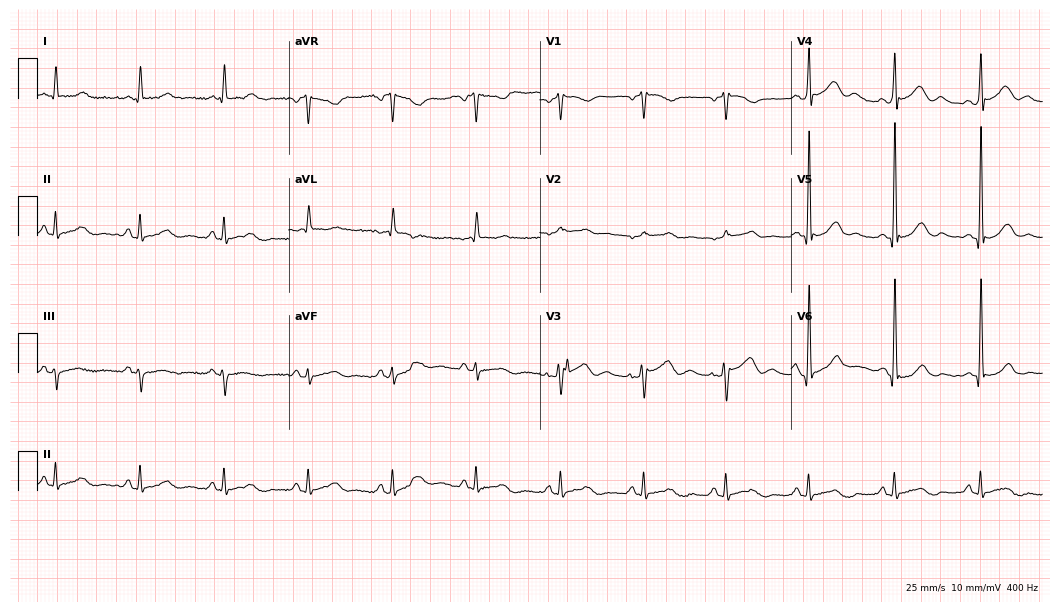
12-lead ECG from a male patient, 53 years old. Screened for six findings — first-degree AV block, right bundle branch block (RBBB), left bundle branch block (LBBB), sinus bradycardia, atrial fibrillation (AF), sinus tachycardia — none is recorded.